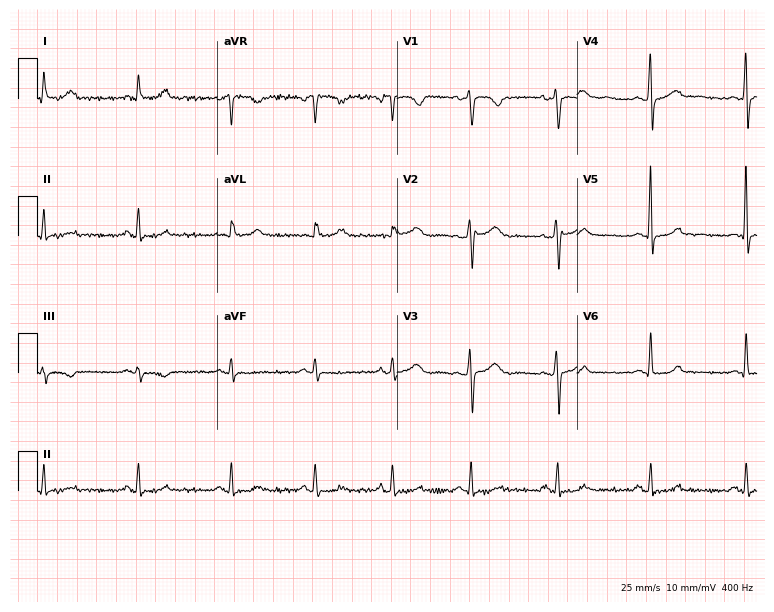
Resting 12-lead electrocardiogram (7.3-second recording at 400 Hz). Patient: a female, 44 years old. None of these six findings is recorded: first-degree AV block, right bundle branch block, left bundle branch block, sinus bradycardia, atrial fibrillation, sinus tachycardia.